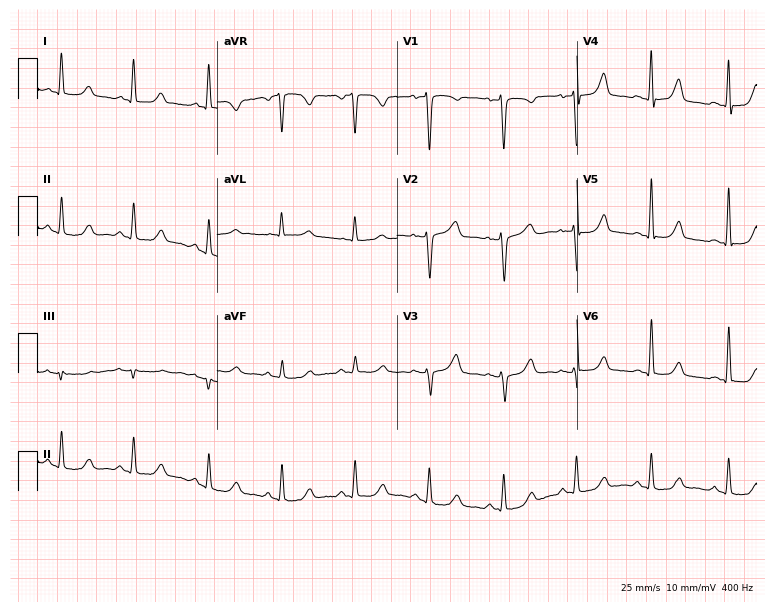
Resting 12-lead electrocardiogram. Patient: a woman, 43 years old. None of these six findings is recorded: first-degree AV block, right bundle branch block, left bundle branch block, sinus bradycardia, atrial fibrillation, sinus tachycardia. Other findings, if any, are not listed.